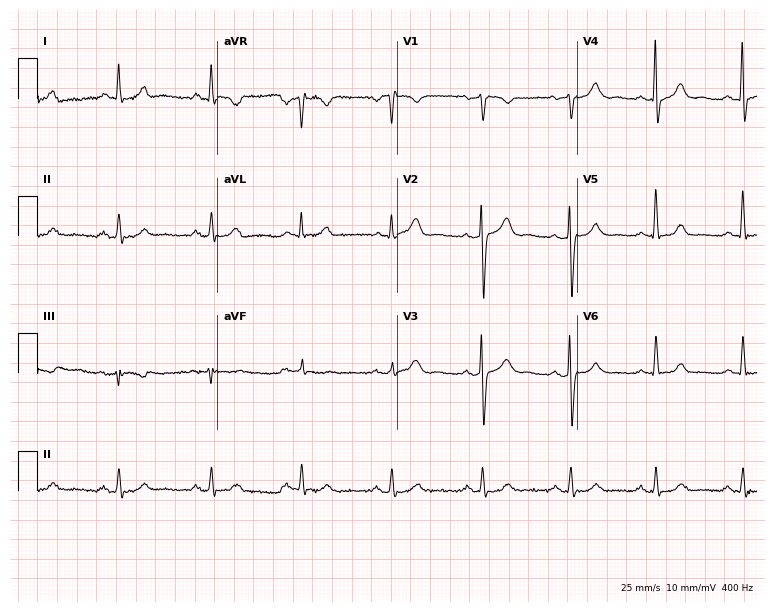
Electrocardiogram, a 68-year-old man. Overall reading on record: normal ECG.